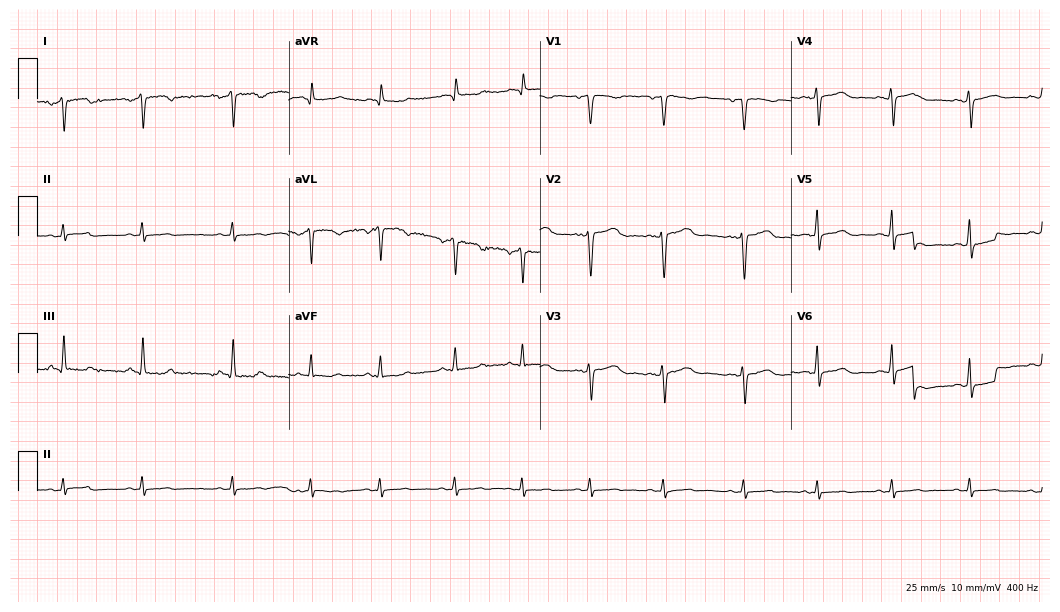
Standard 12-lead ECG recorded from a 40-year-old woman. None of these six findings is recorded: first-degree AV block, right bundle branch block (RBBB), left bundle branch block (LBBB), sinus bradycardia, atrial fibrillation (AF), sinus tachycardia.